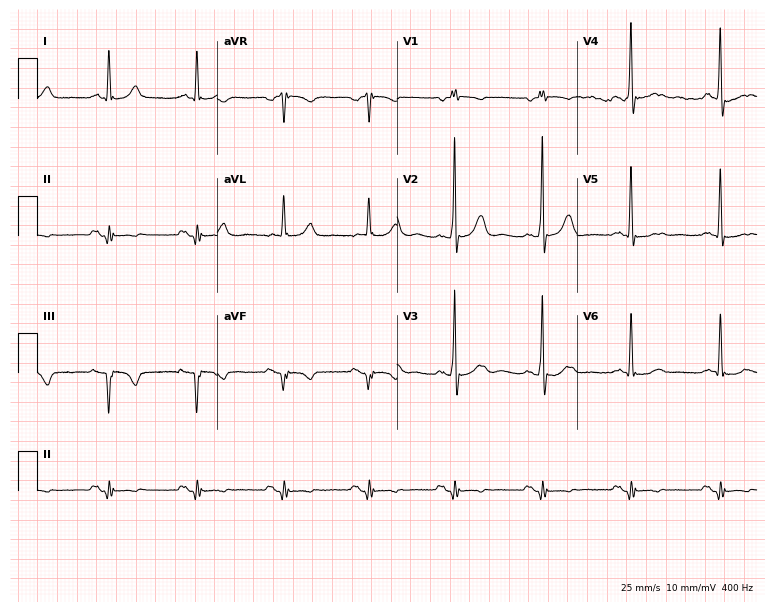
ECG — a male patient, 73 years old. Screened for six findings — first-degree AV block, right bundle branch block (RBBB), left bundle branch block (LBBB), sinus bradycardia, atrial fibrillation (AF), sinus tachycardia — none is recorded.